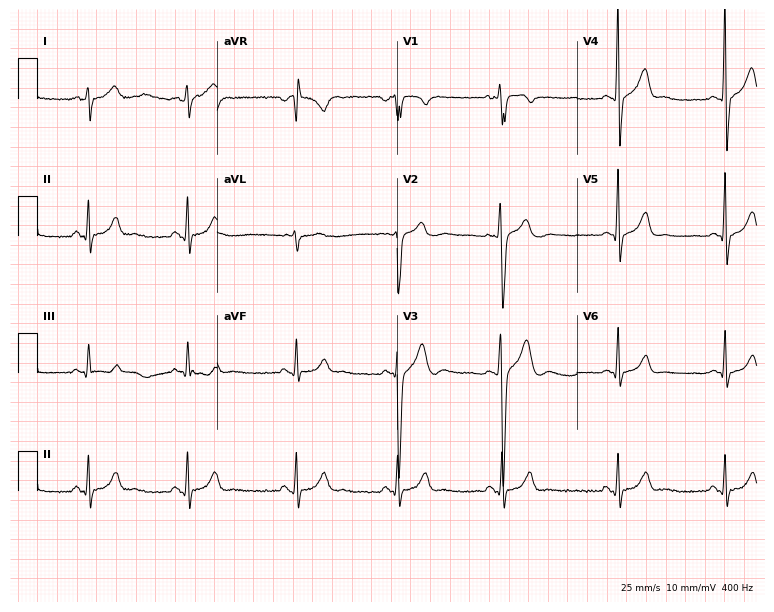
12-lead ECG from a man, 21 years old. Labelled as a normal ECG.